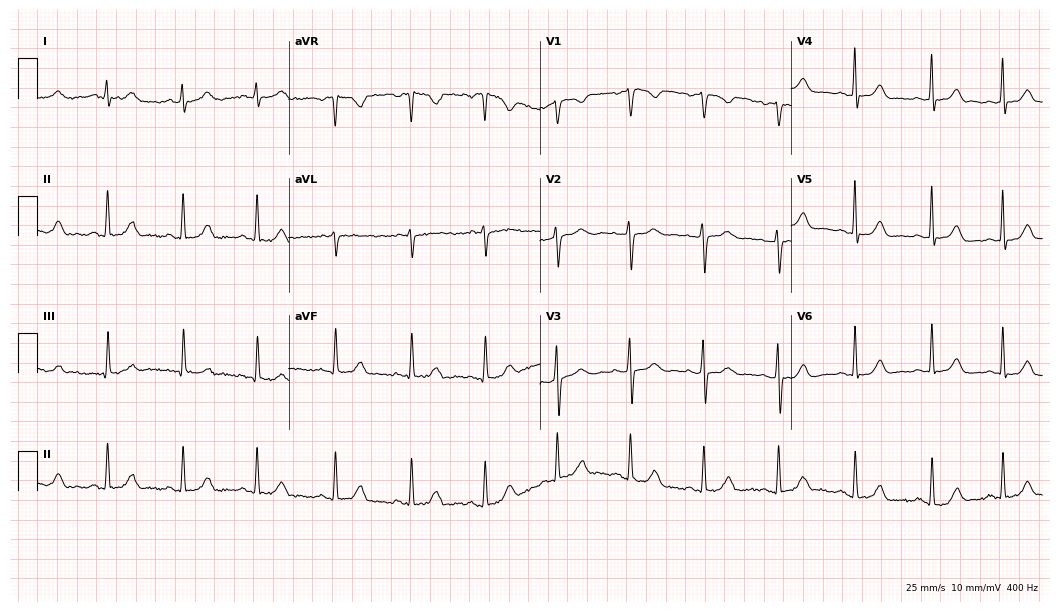
Standard 12-lead ECG recorded from a 38-year-old female. Read as a normal ECG.